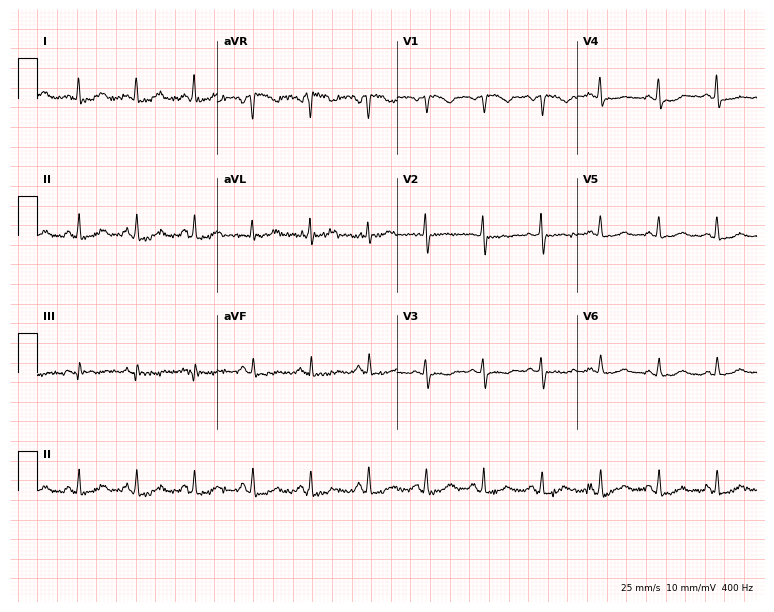
12-lead ECG from a female, 43 years old. Recorded interpretation: within normal limits.